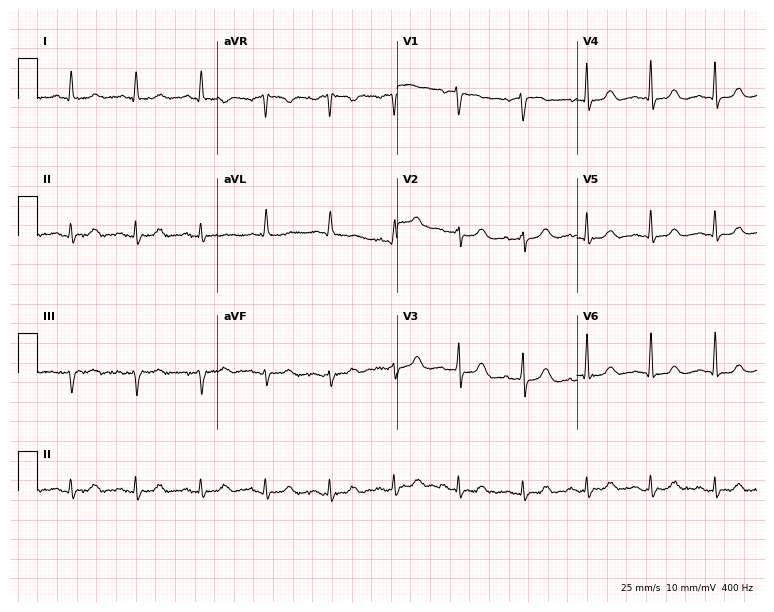
12-lead ECG from a 77-year-old female (7.3-second recording at 400 Hz). Recorded interpretation: within normal limits.